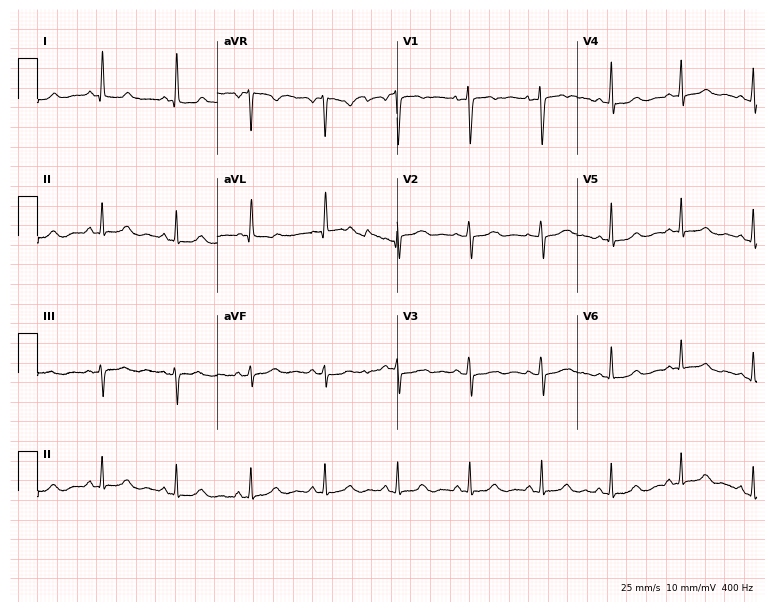
ECG (7.3-second recording at 400 Hz) — a 58-year-old woman. Labelled as a normal ECG.